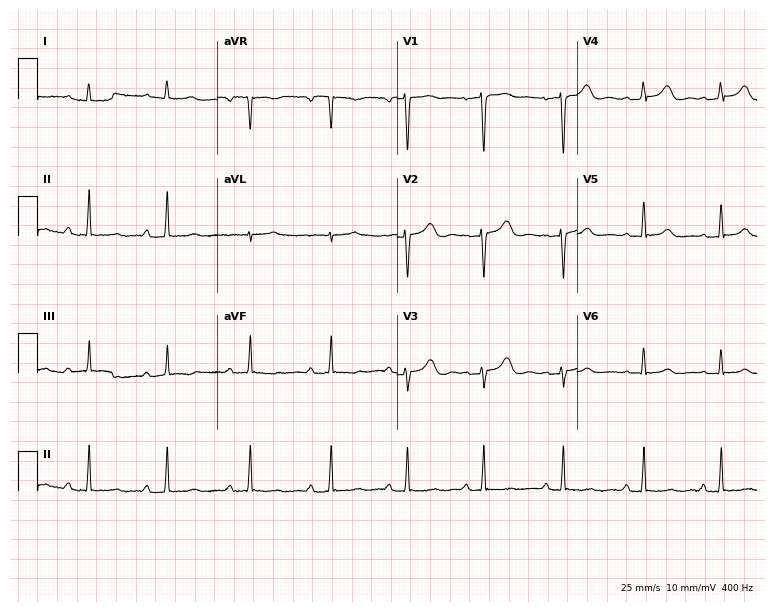
Electrocardiogram, a woman, 29 years old. Of the six screened findings (first-degree AV block, right bundle branch block, left bundle branch block, sinus bradycardia, atrial fibrillation, sinus tachycardia), none is recorded.